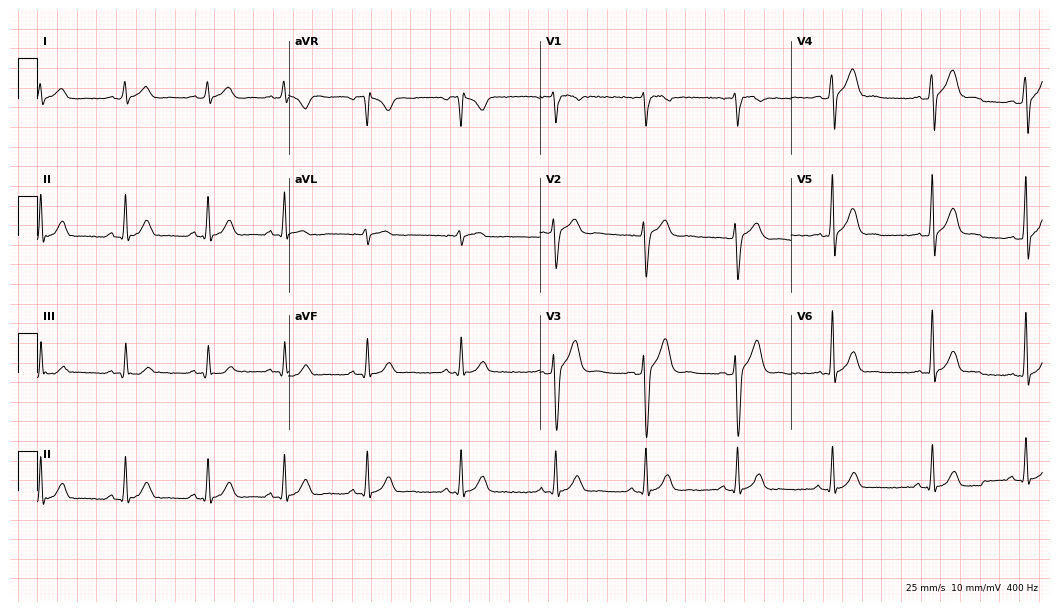
ECG (10.2-second recording at 400 Hz) — a 26-year-old man. Labelled as a normal ECG.